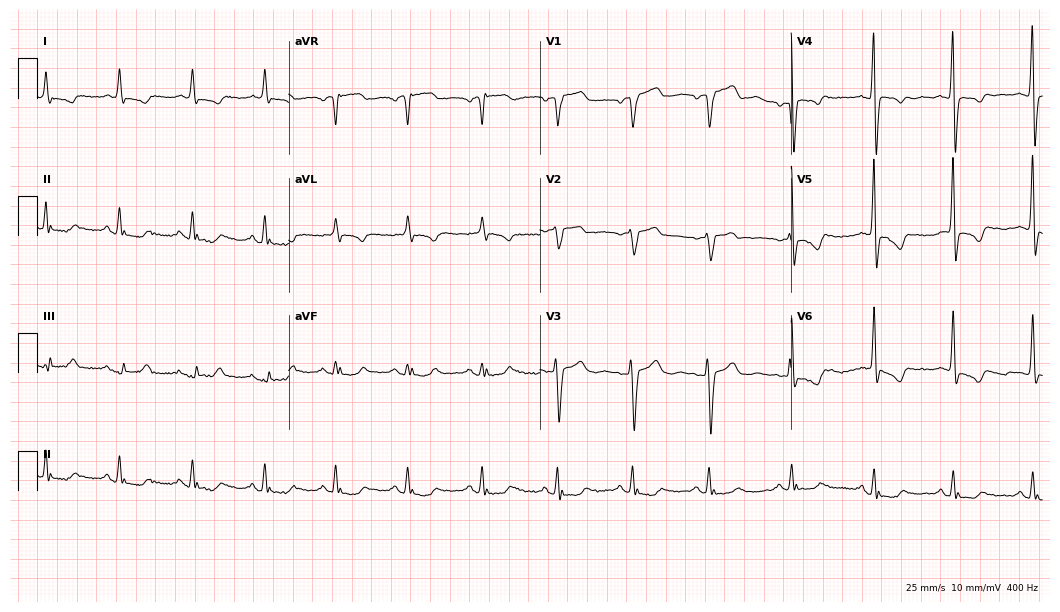
12-lead ECG (10.2-second recording at 400 Hz) from a male, 62 years old. Screened for six findings — first-degree AV block, right bundle branch block, left bundle branch block, sinus bradycardia, atrial fibrillation, sinus tachycardia — none is recorded. Only these six findings were labelled.